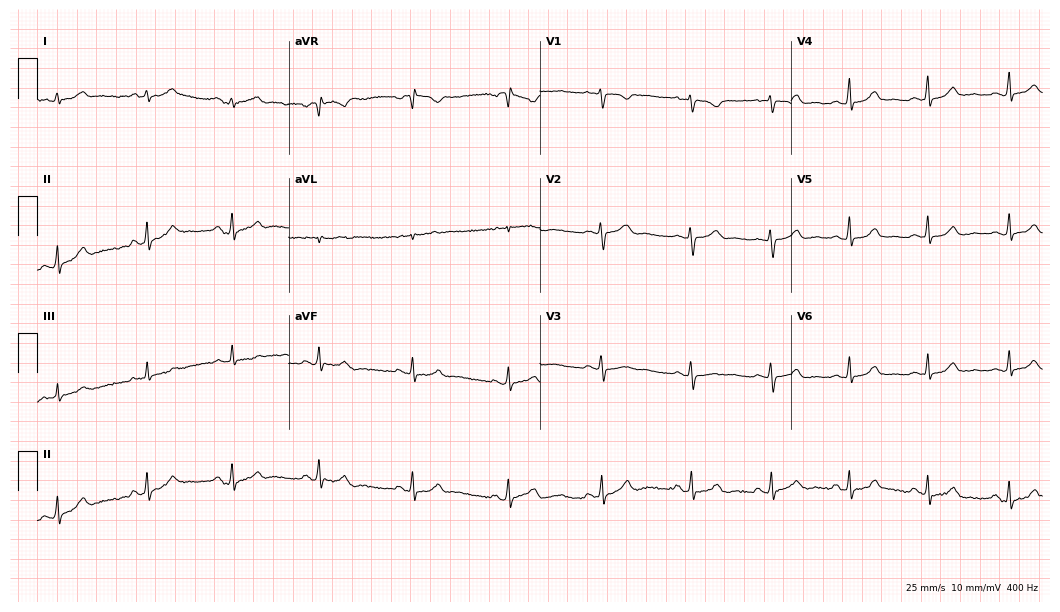
12-lead ECG from a 21-year-old female patient. Screened for six findings — first-degree AV block, right bundle branch block (RBBB), left bundle branch block (LBBB), sinus bradycardia, atrial fibrillation (AF), sinus tachycardia — none is recorded.